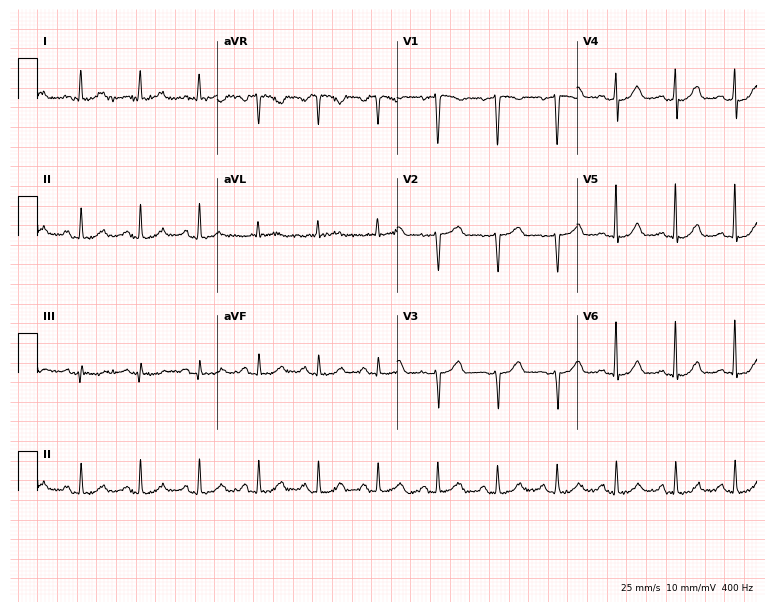
12-lead ECG from a 57-year-old female patient. Labelled as a normal ECG.